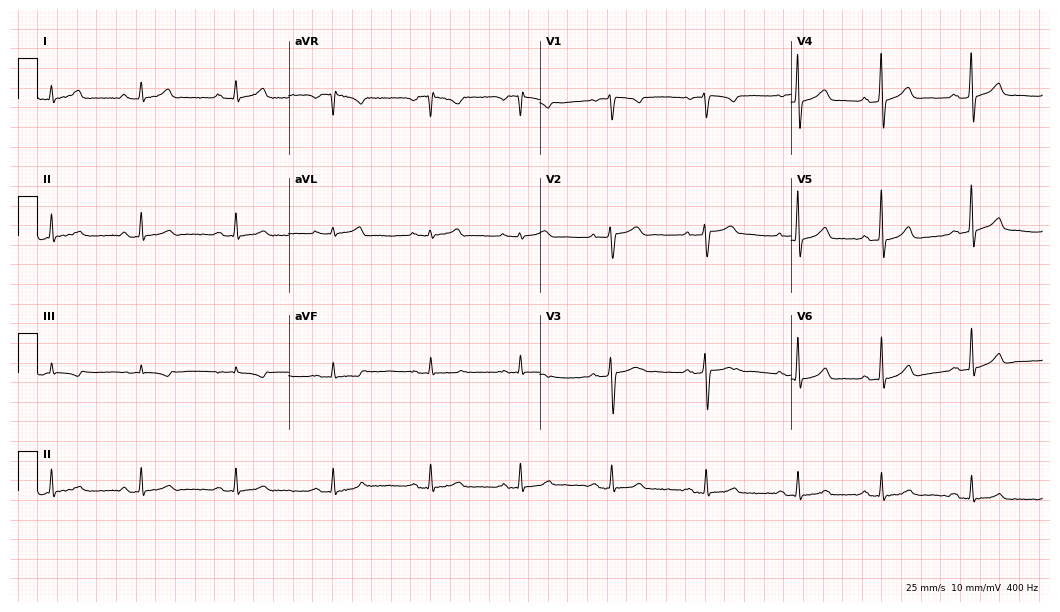
ECG (10.2-second recording at 400 Hz) — a 41-year-old female patient. Screened for six findings — first-degree AV block, right bundle branch block, left bundle branch block, sinus bradycardia, atrial fibrillation, sinus tachycardia — none is recorded. Other findings, if any, are not listed.